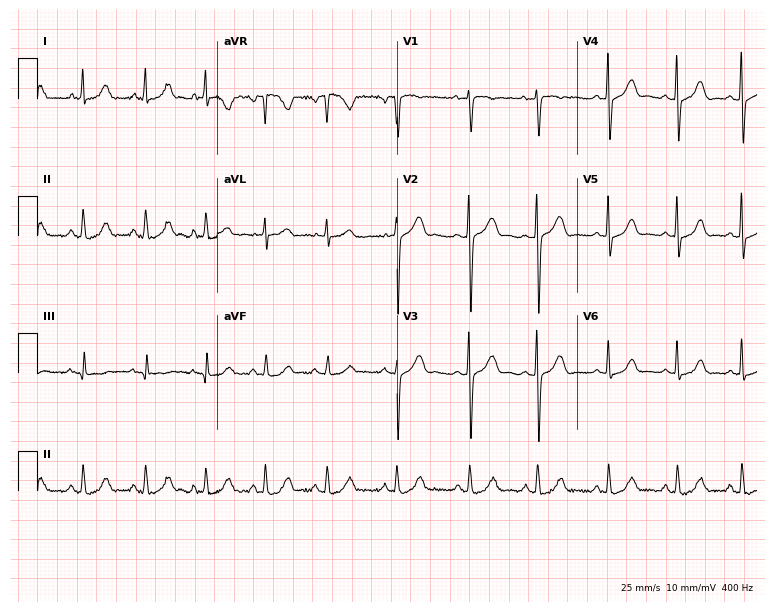
Electrocardiogram (7.3-second recording at 400 Hz), a female patient, 33 years old. Of the six screened findings (first-degree AV block, right bundle branch block, left bundle branch block, sinus bradycardia, atrial fibrillation, sinus tachycardia), none is recorded.